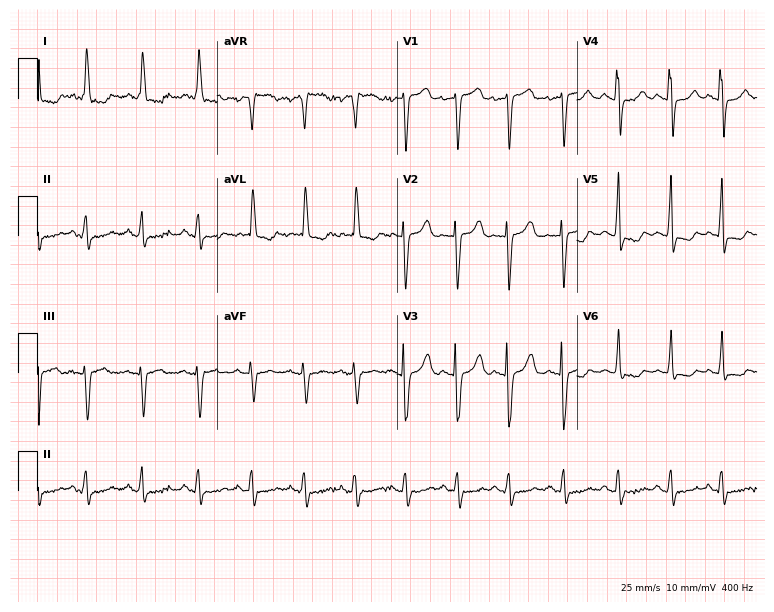
12-lead ECG (7.3-second recording at 400 Hz) from a woman, 84 years old. Findings include sinus tachycardia (a sinus rate of 100 beats per minute or more).